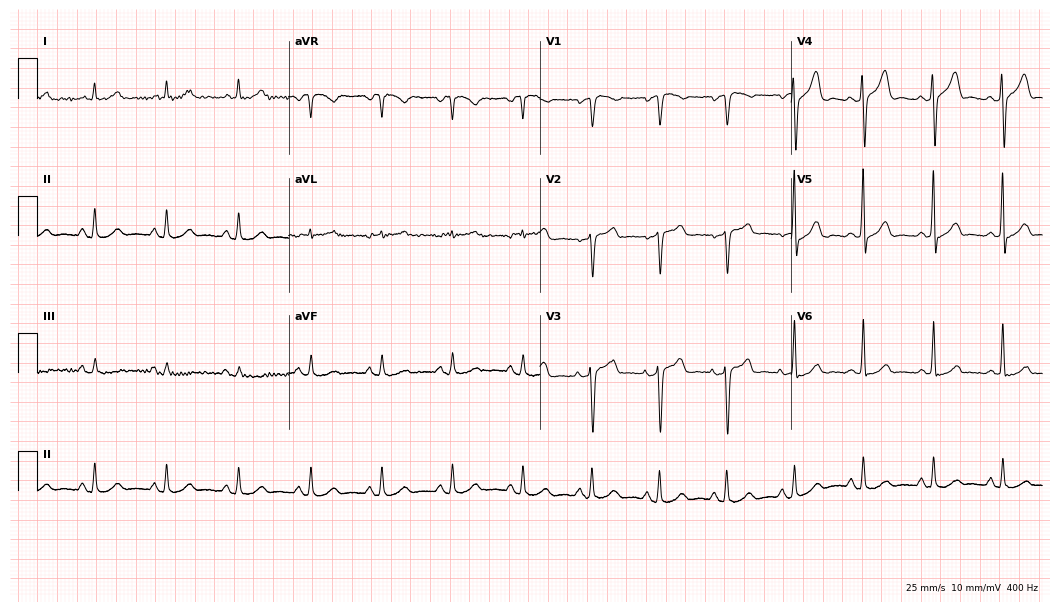
Resting 12-lead electrocardiogram (10.2-second recording at 400 Hz). Patient: a man, 56 years old. Read as a normal ECG.